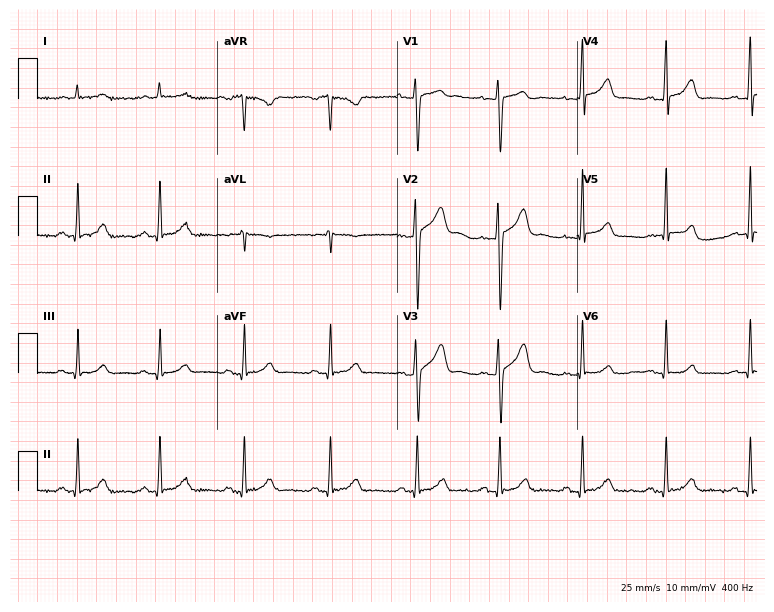
ECG — a 40-year-old man. Screened for six findings — first-degree AV block, right bundle branch block (RBBB), left bundle branch block (LBBB), sinus bradycardia, atrial fibrillation (AF), sinus tachycardia — none is recorded.